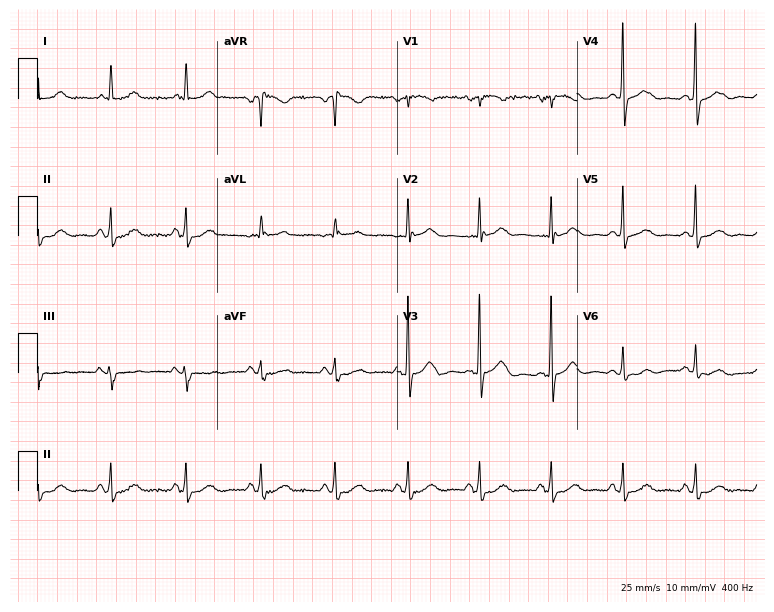
Electrocardiogram (7.3-second recording at 400 Hz), a 72-year-old man. Of the six screened findings (first-degree AV block, right bundle branch block, left bundle branch block, sinus bradycardia, atrial fibrillation, sinus tachycardia), none is recorded.